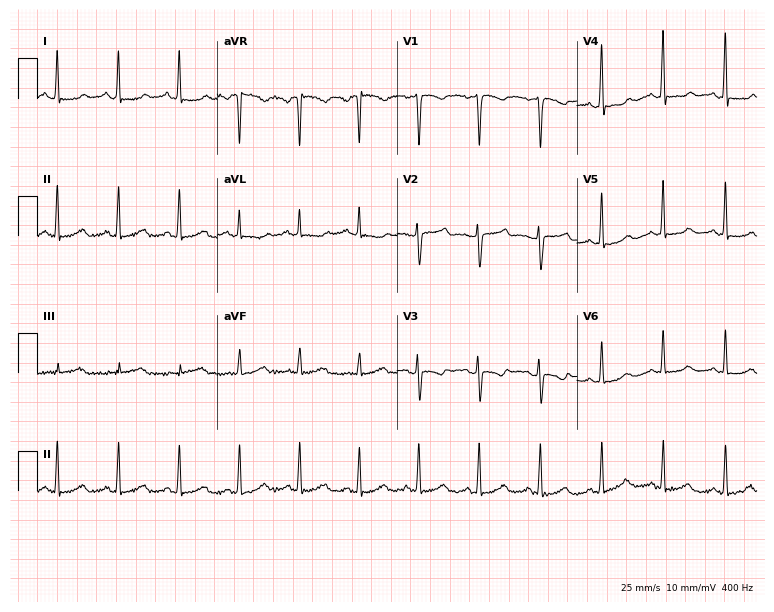
12-lead ECG (7.3-second recording at 400 Hz) from a female, 36 years old. Screened for six findings — first-degree AV block, right bundle branch block, left bundle branch block, sinus bradycardia, atrial fibrillation, sinus tachycardia — none is recorded.